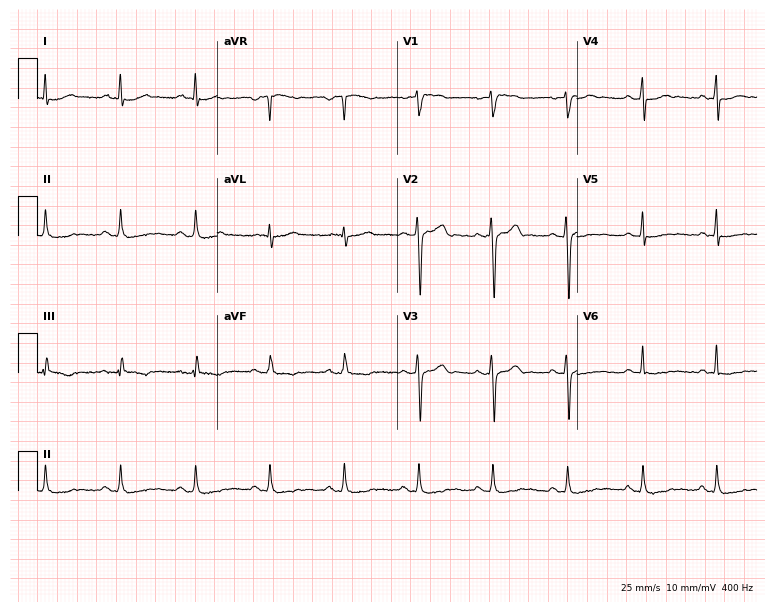
12-lead ECG from a male, 43 years old. Screened for six findings — first-degree AV block, right bundle branch block, left bundle branch block, sinus bradycardia, atrial fibrillation, sinus tachycardia — none is recorded.